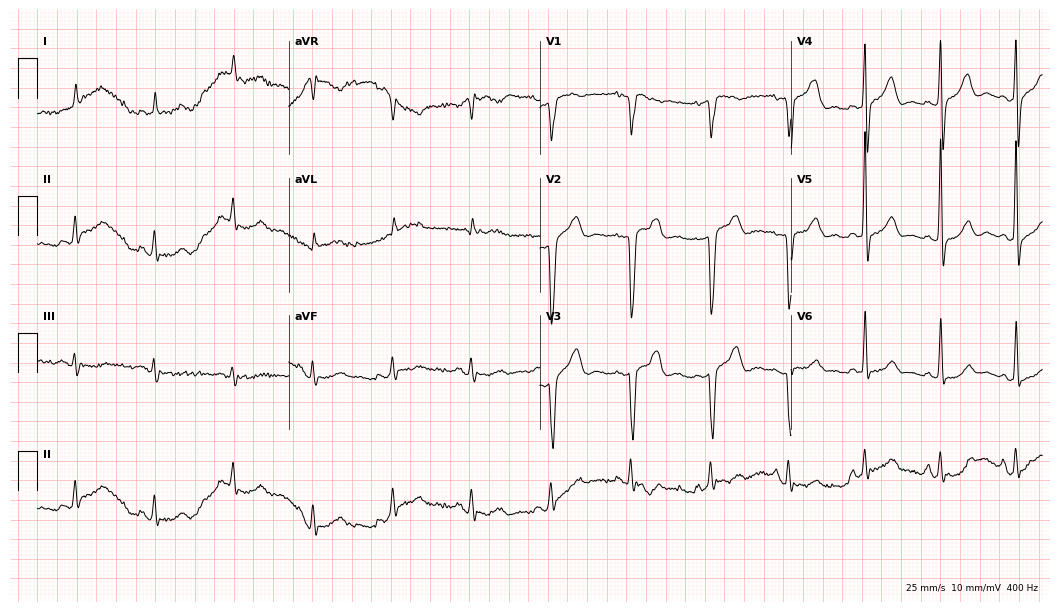
12-lead ECG from a 76-year-old male (10.2-second recording at 400 Hz). No first-degree AV block, right bundle branch block, left bundle branch block, sinus bradycardia, atrial fibrillation or sinus tachycardia recorded for this tracing. Findings outside these six are not listed.